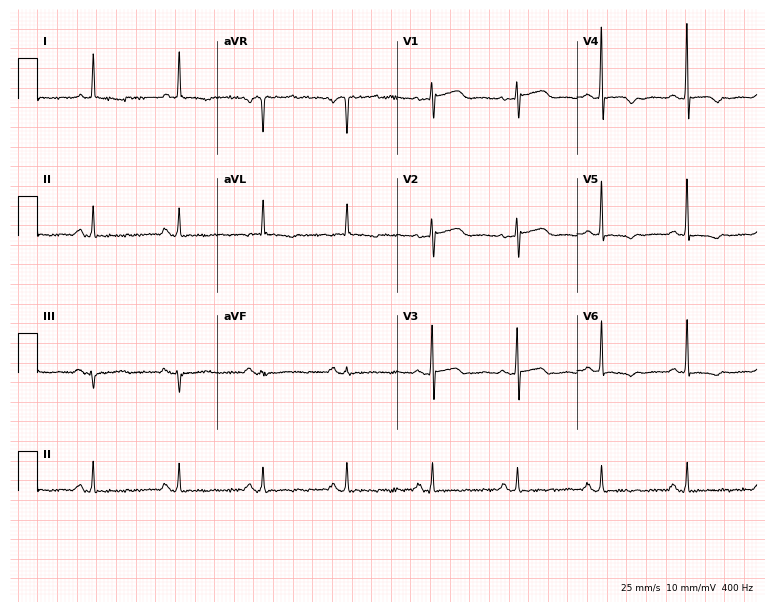
Resting 12-lead electrocardiogram (7.3-second recording at 400 Hz). Patient: a 72-year-old female. None of these six findings is recorded: first-degree AV block, right bundle branch block (RBBB), left bundle branch block (LBBB), sinus bradycardia, atrial fibrillation (AF), sinus tachycardia.